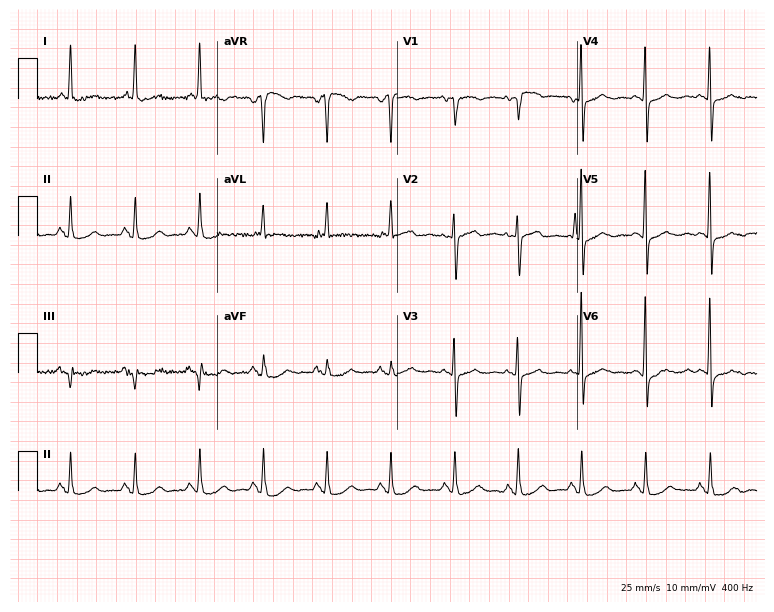
12-lead ECG from an 87-year-old female patient. No first-degree AV block, right bundle branch block, left bundle branch block, sinus bradycardia, atrial fibrillation or sinus tachycardia recorded for this tracing.